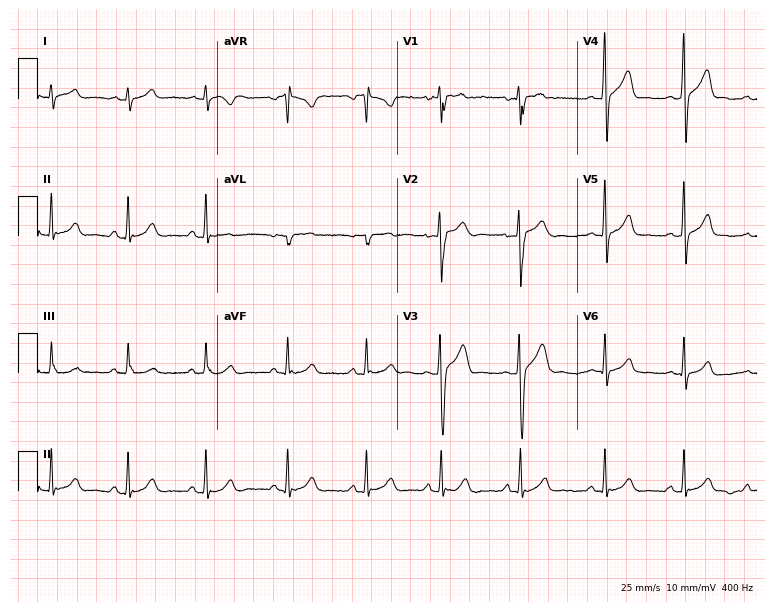
Electrocardiogram (7.3-second recording at 400 Hz), a male, 22 years old. Of the six screened findings (first-degree AV block, right bundle branch block, left bundle branch block, sinus bradycardia, atrial fibrillation, sinus tachycardia), none is recorded. Findings outside these six are not listed.